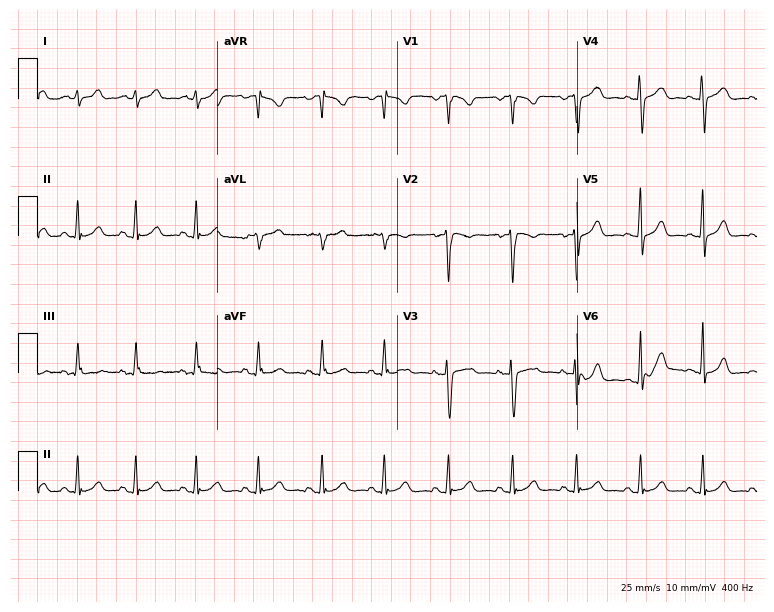
12-lead ECG from a 24-year-old female patient. Labelled as a normal ECG.